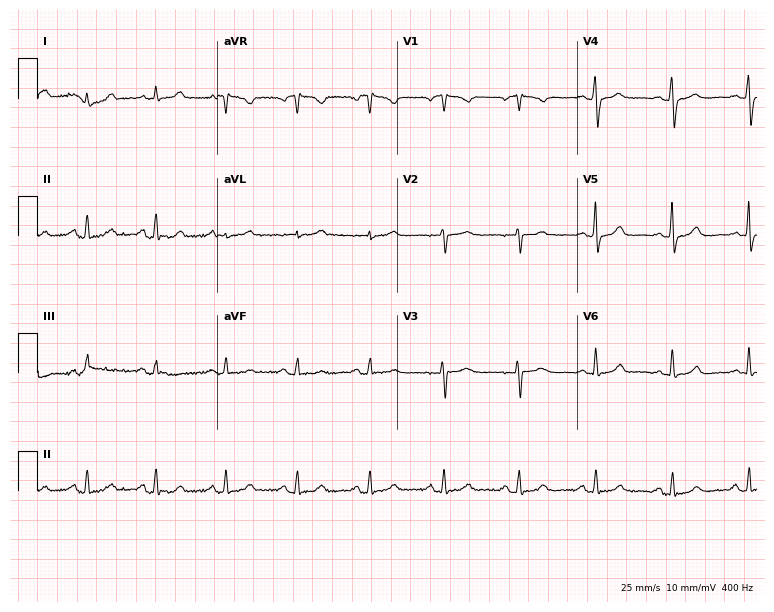
ECG (7.3-second recording at 400 Hz) — a woman, 51 years old. Labelled as a normal ECG.